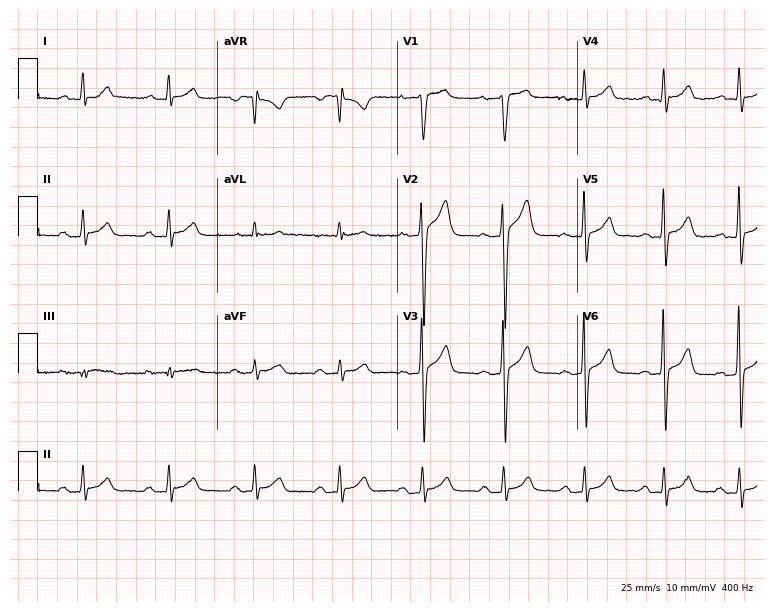
Standard 12-lead ECG recorded from a male, 40 years old (7.3-second recording at 400 Hz). Read as a normal ECG.